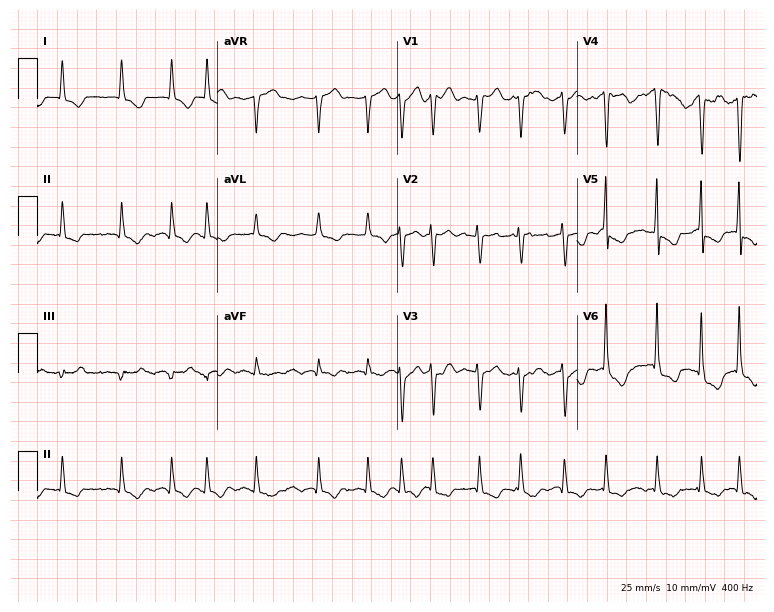
Electrocardiogram (7.3-second recording at 400 Hz), a female patient, 76 years old. Interpretation includes atrial fibrillation.